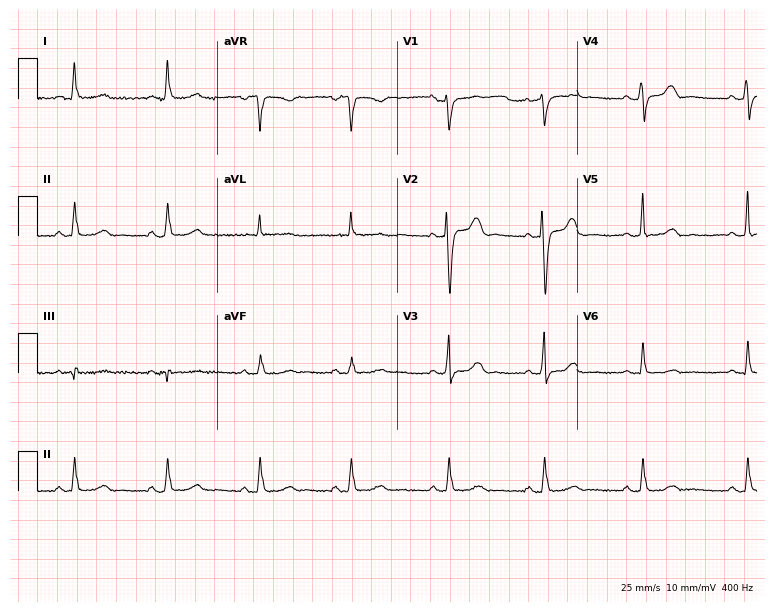
12-lead ECG from a 58-year-old female patient (7.3-second recording at 400 Hz). Recorded interpretation: within normal limits.